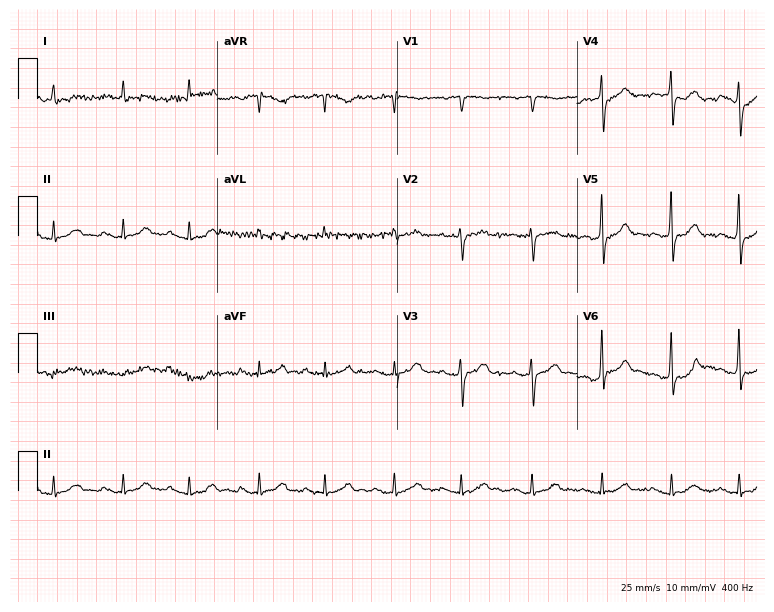
Electrocardiogram (7.3-second recording at 400 Hz), a male patient, 74 years old. Overall reading on record: normal ECG.